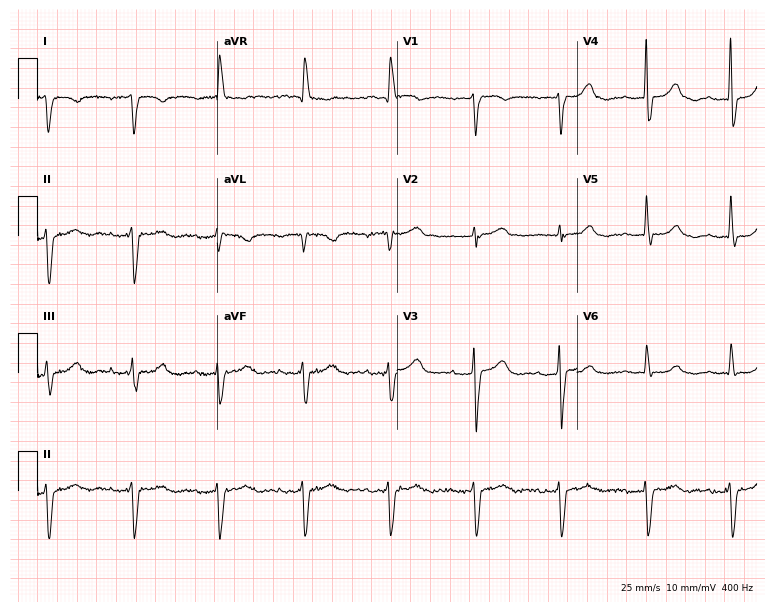
12-lead ECG from a 76-year-old female. No first-degree AV block, right bundle branch block (RBBB), left bundle branch block (LBBB), sinus bradycardia, atrial fibrillation (AF) or sinus tachycardia recorded for this tracing.